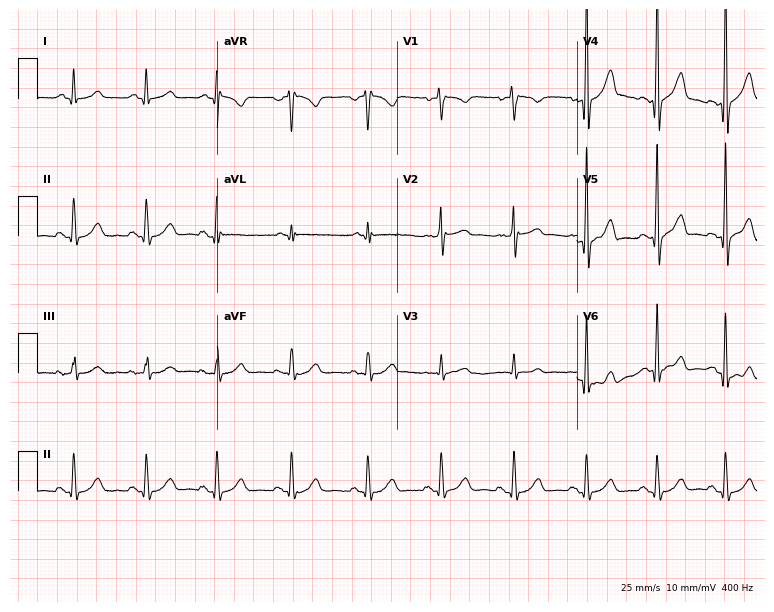
ECG — a man, 52 years old. Screened for six findings — first-degree AV block, right bundle branch block (RBBB), left bundle branch block (LBBB), sinus bradycardia, atrial fibrillation (AF), sinus tachycardia — none is recorded. Other findings, if any, are not listed.